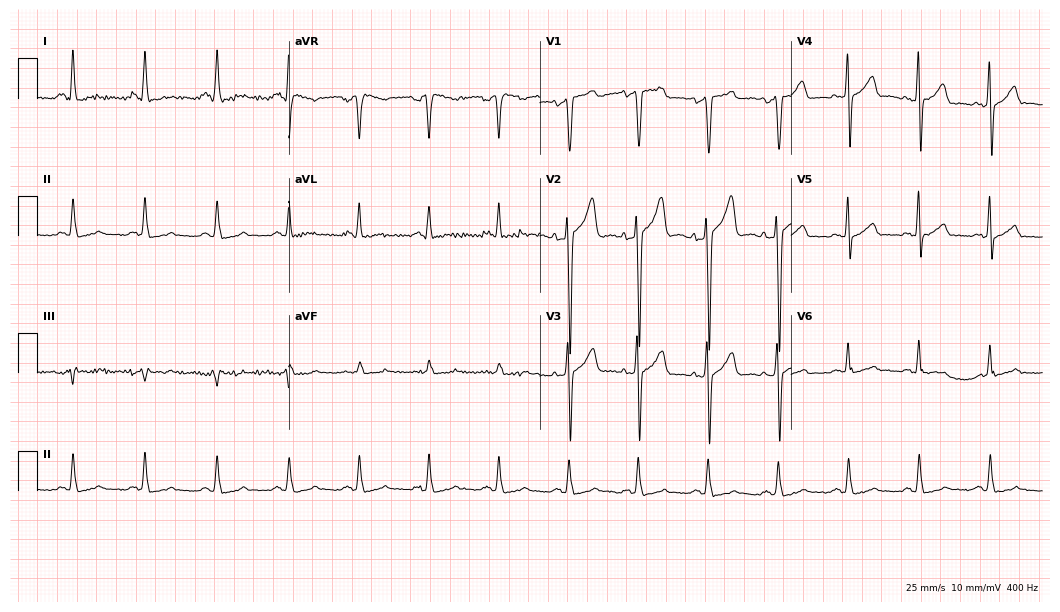
12-lead ECG (10.2-second recording at 400 Hz) from a 29-year-old woman. Screened for six findings — first-degree AV block, right bundle branch block, left bundle branch block, sinus bradycardia, atrial fibrillation, sinus tachycardia — none is recorded. Findings outside these six are not listed.